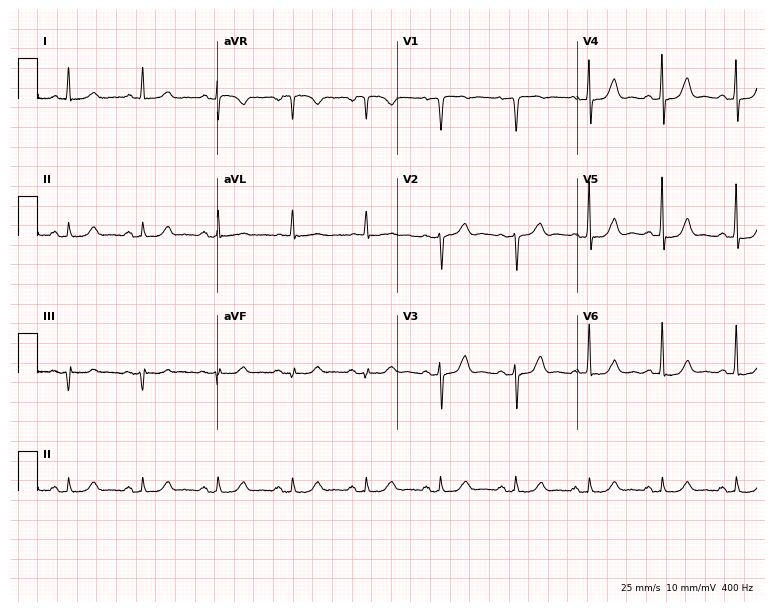
Electrocardiogram, a woman, 68 years old. Of the six screened findings (first-degree AV block, right bundle branch block (RBBB), left bundle branch block (LBBB), sinus bradycardia, atrial fibrillation (AF), sinus tachycardia), none is recorded.